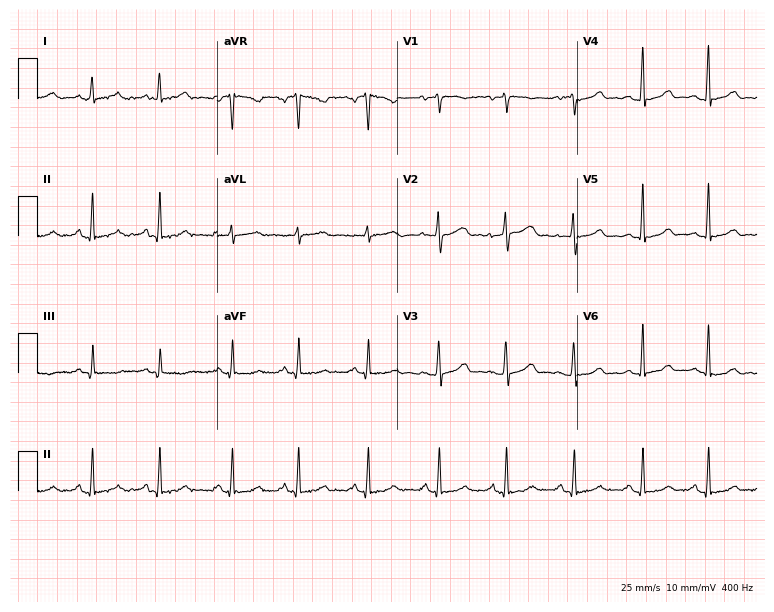
ECG (7.3-second recording at 400 Hz) — a 42-year-old female. Labelled as a normal ECG.